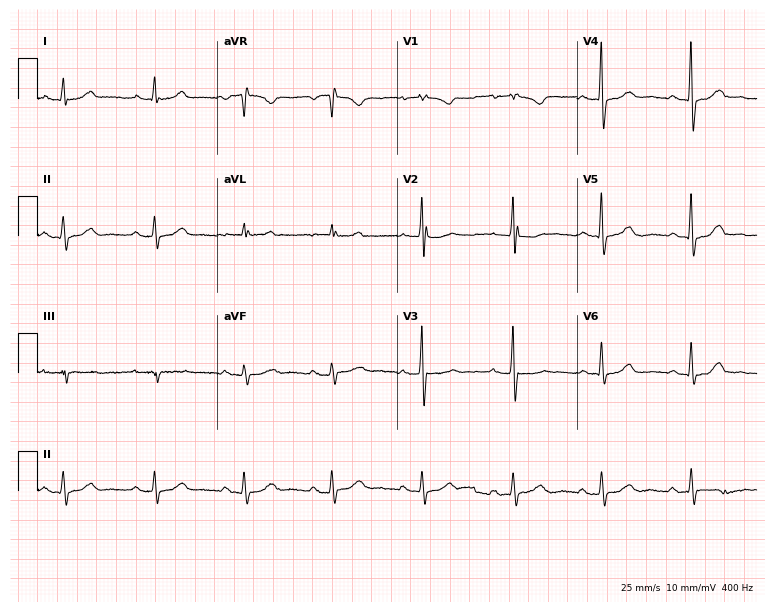
Standard 12-lead ECG recorded from a 67-year-old female patient. None of these six findings is recorded: first-degree AV block, right bundle branch block, left bundle branch block, sinus bradycardia, atrial fibrillation, sinus tachycardia.